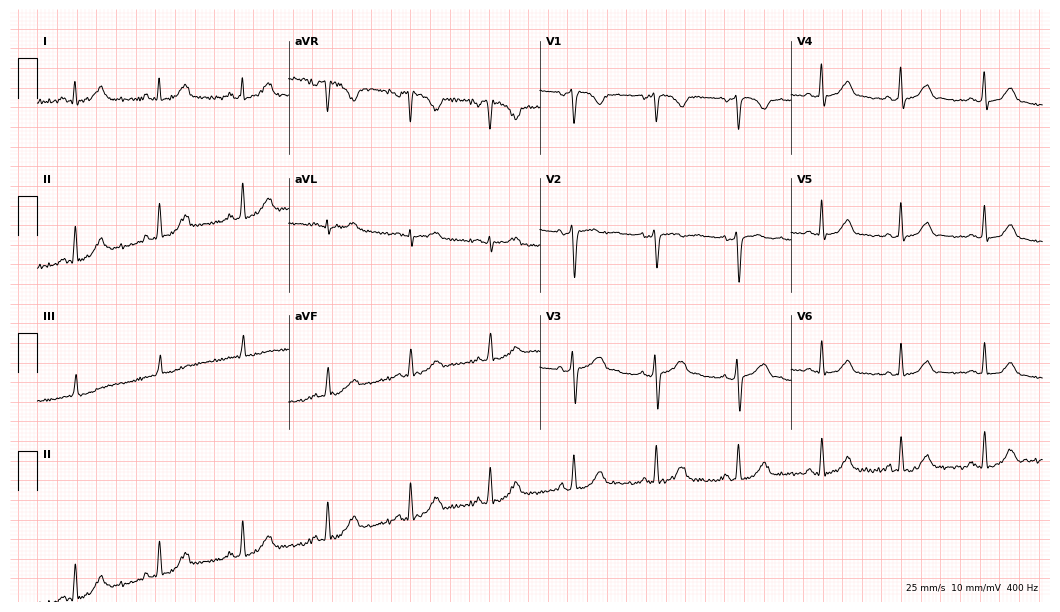
Resting 12-lead electrocardiogram. Patient: a 27-year-old female. None of these six findings is recorded: first-degree AV block, right bundle branch block (RBBB), left bundle branch block (LBBB), sinus bradycardia, atrial fibrillation (AF), sinus tachycardia. Other findings, if any, are not listed.